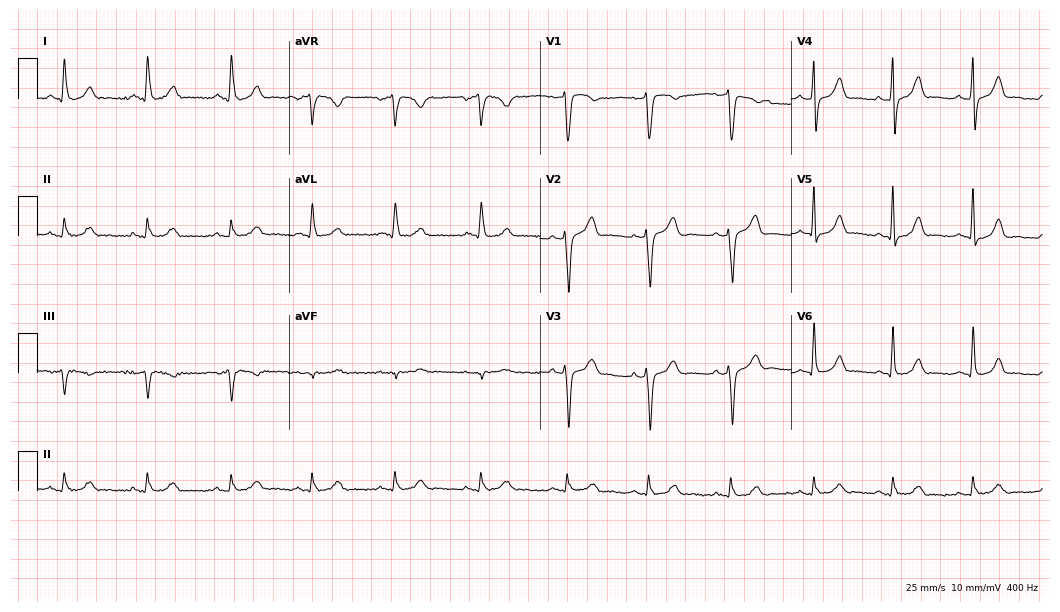
12-lead ECG from a male patient, 71 years old. Labelled as a normal ECG.